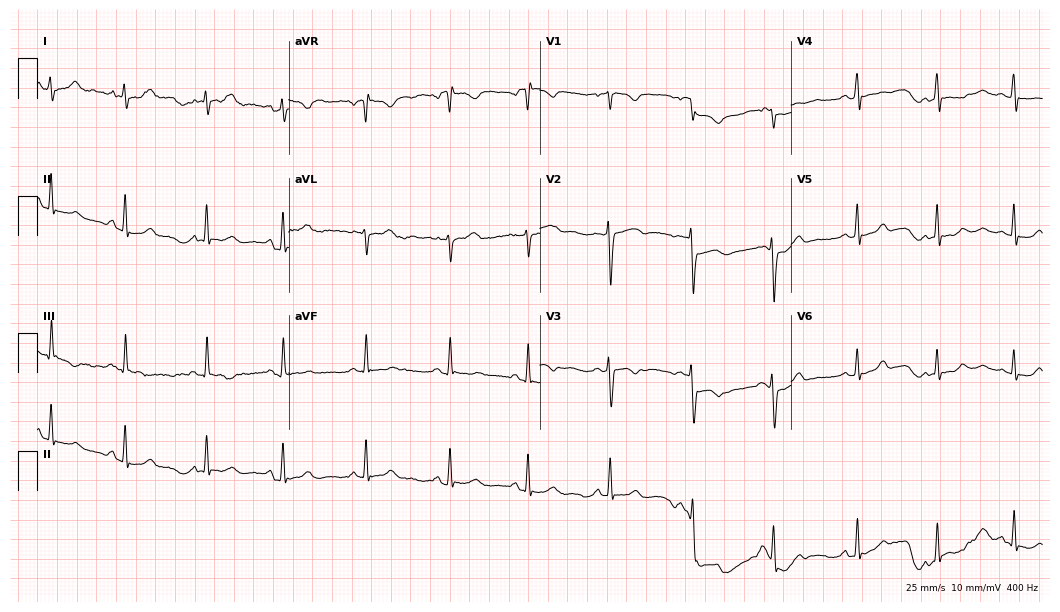
Resting 12-lead electrocardiogram. Patient: a 19-year-old female. Read as a normal ECG.